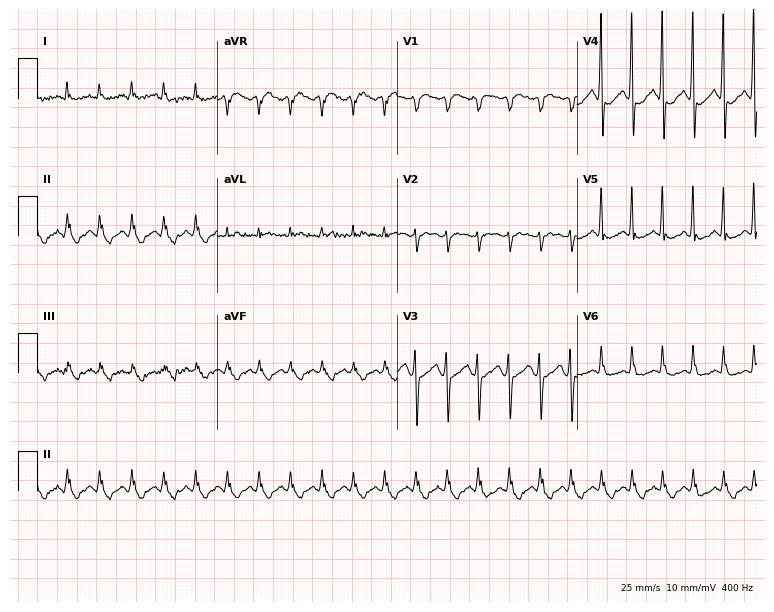
Resting 12-lead electrocardiogram. Patient: an 82-year-old male. None of these six findings is recorded: first-degree AV block, right bundle branch block, left bundle branch block, sinus bradycardia, atrial fibrillation, sinus tachycardia.